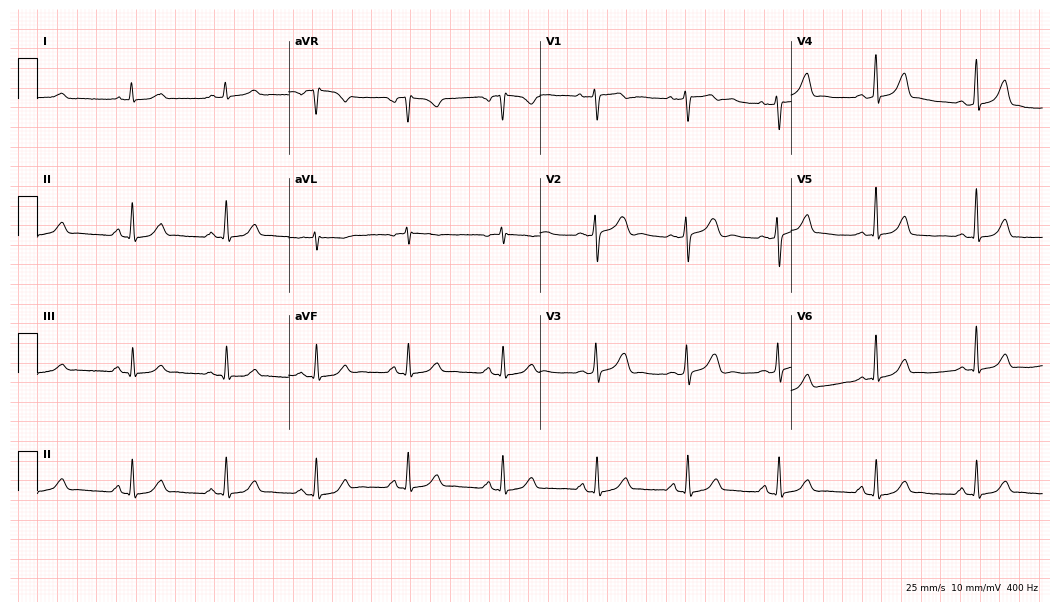
Resting 12-lead electrocardiogram (10.2-second recording at 400 Hz). Patient: a woman, 34 years old. Read as a normal ECG.